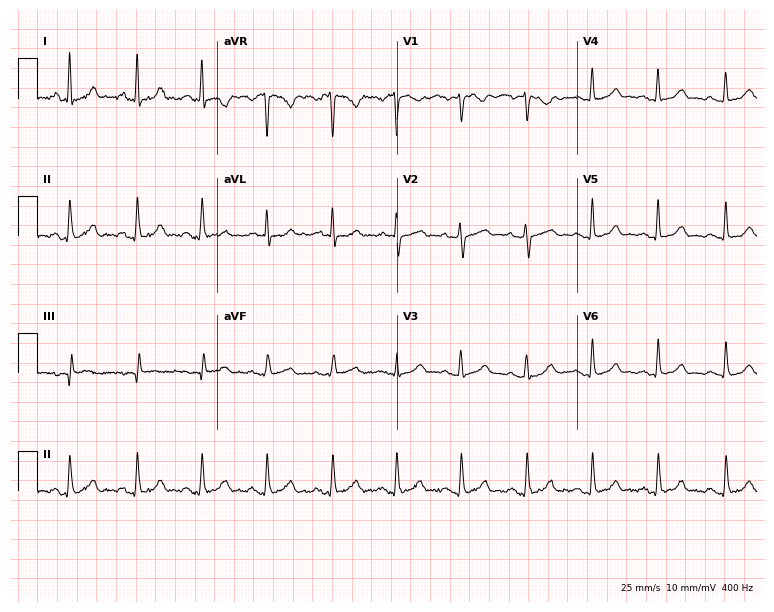
12-lead ECG (7.3-second recording at 400 Hz) from a 33-year-old female. Screened for six findings — first-degree AV block, right bundle branch block, left bundle branch block, sinus bradycardia, atrial fibrillation, sinus tachycardia — none is recorded.